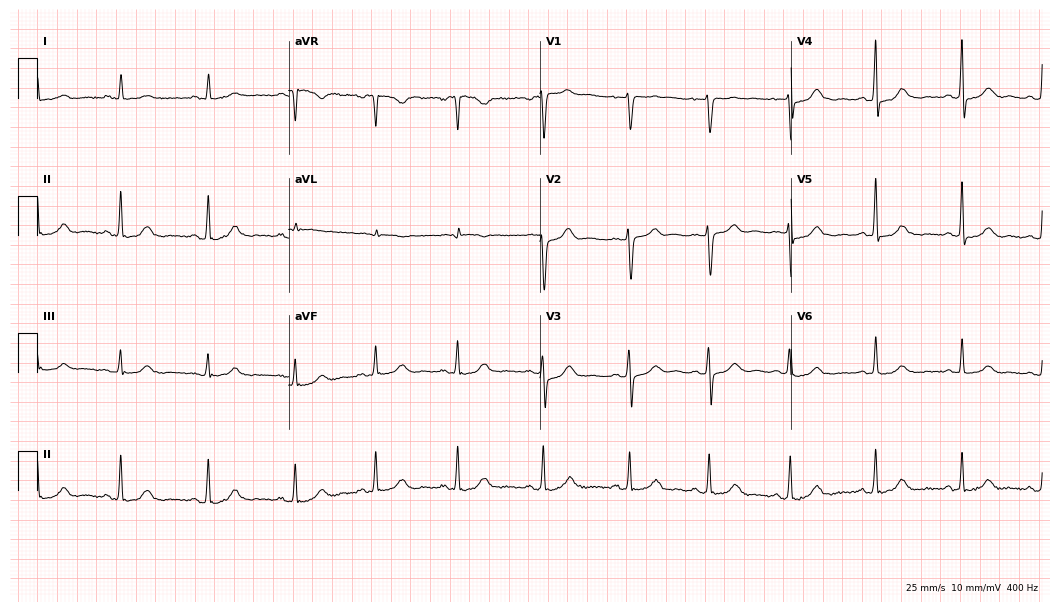
Resting 12-lead electrocardiogram (10.2-second recording at 400 Hz). Patient: a female, 55 years old. None of these six findings is recorded: first-degree AV block, right bundle branch block, left bundle branch block, sinus bradycardia, atrial fibrillation, sinus tachycardia. Other findings, if any, are not listed.